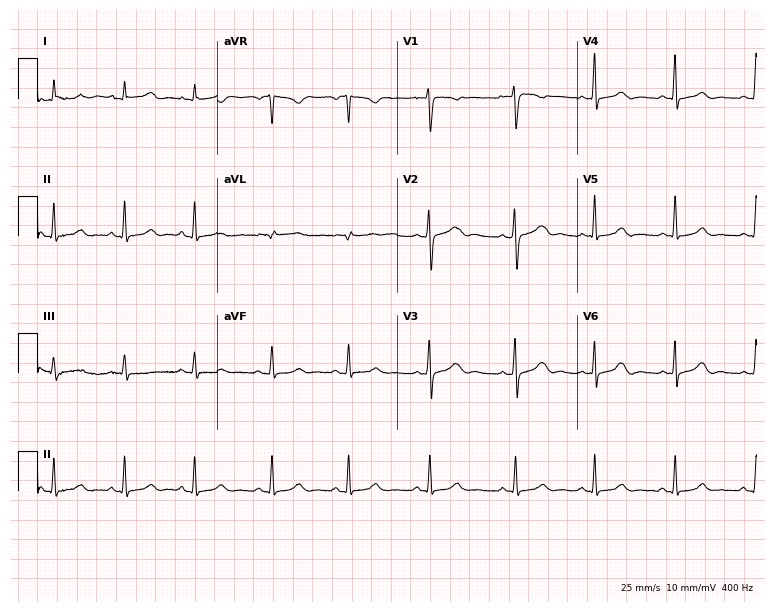
Resting 12-lead electrocardiogram (7.3-second recording at 400 Hz). Patient: a 36-year-old female. Read as a normal ECG.